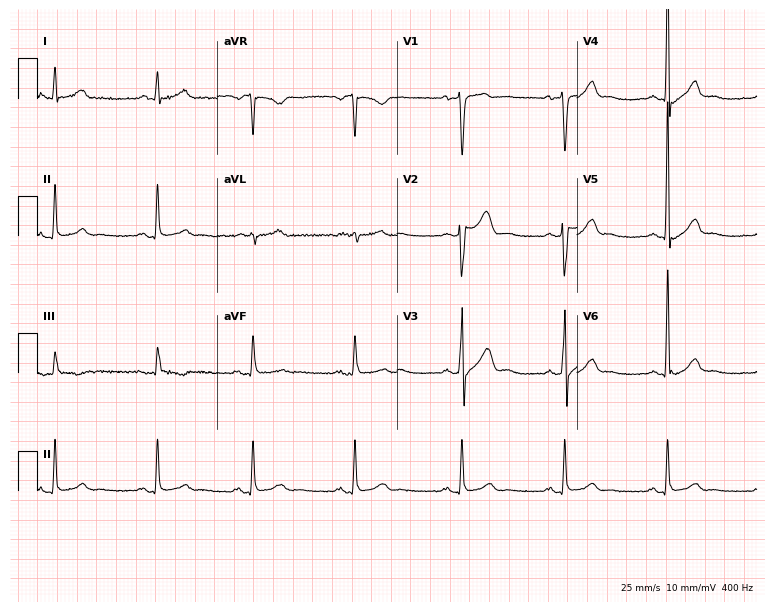
Standard 12-lead ECG recorded from a male patient, 37 years old. Read as a normal ECG.